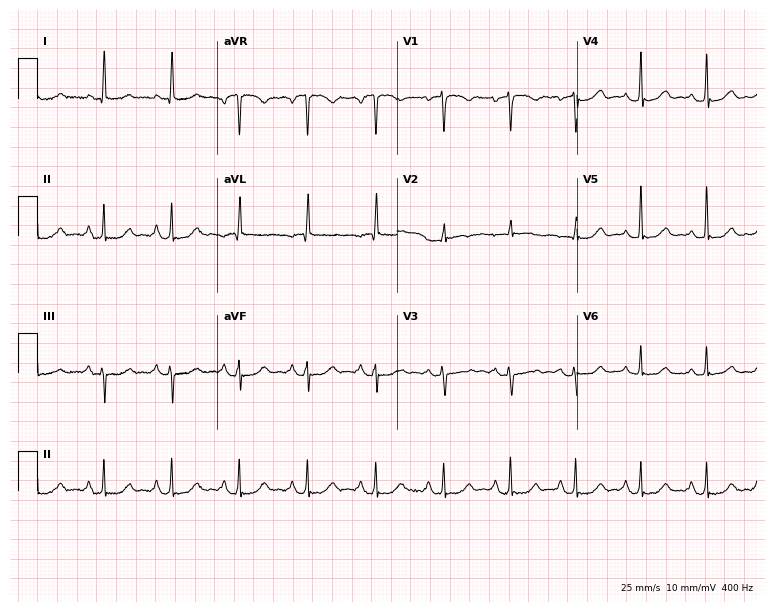
ECG — a 61-year-old woman. Screened for six findings — first-degree AV block, right bundle branch block, left bundle branch block, sinus bradycardia, atrial fibrillation, sinus tachycardia — none is recorded.